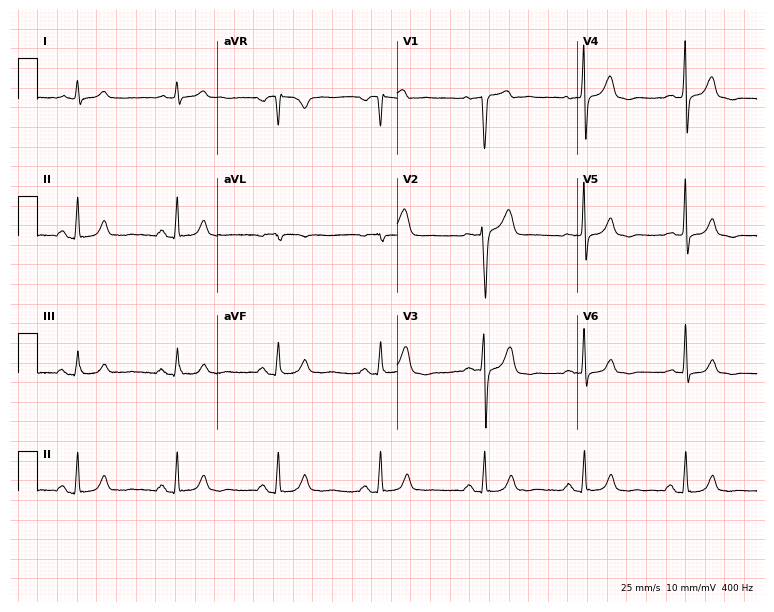
12-lead ECG from a 44-year-old male. No first-degree AV block, right bundle branch block, left bundle branch block, sinus bradycardia, atrial fibrillation or sinus tachycardia recorded for this tracing. Only these six findings were labelled.